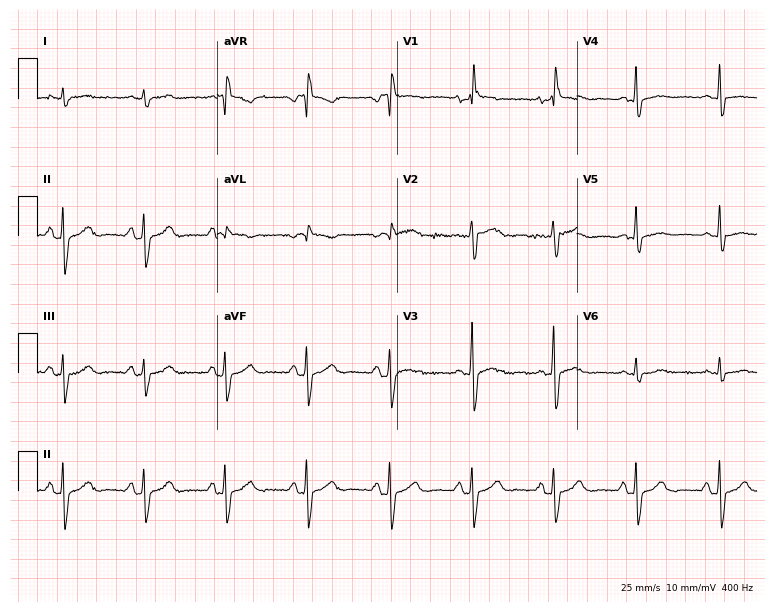
ECG — an 81-year-old male patient. Screened for six findings — first-degree AV block, right bundle branch block, left bundle branch block, sinus bradycardia, atrial fibrillation, sinus tachycardia — none is recorded. Other findings, if any, are not listed.